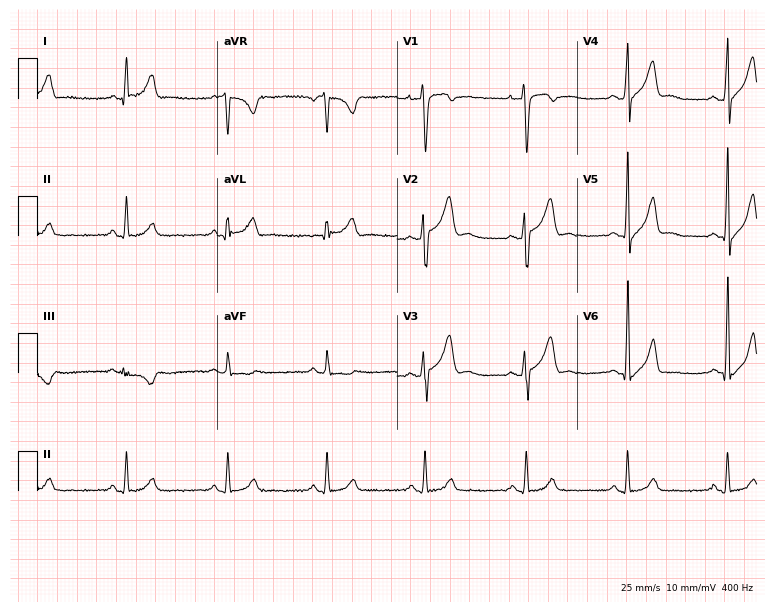
ECG (7.3-second recording at 400 Hz) — a man, 29 years old. Screened for six findings — first-degree AV block, right bundle branch block, left bundle branch block, sinus bradycardia, atrial fibrillation, sinus tachycardia — none is recorded. Findings outside these six are not listed.